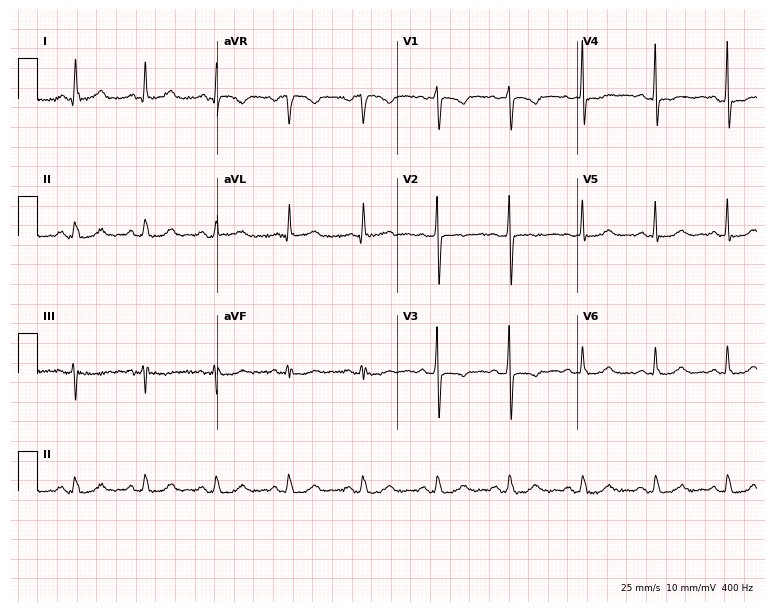
12-lead ECG from a female, 53 years old. Screened for six findings — first-degree AV block, right bundle branch block (RBBB), left bundle branch block (LBBB), sinus bradycardia, atrial fibrillation (AF), sinus tachycardia — none is recorded.